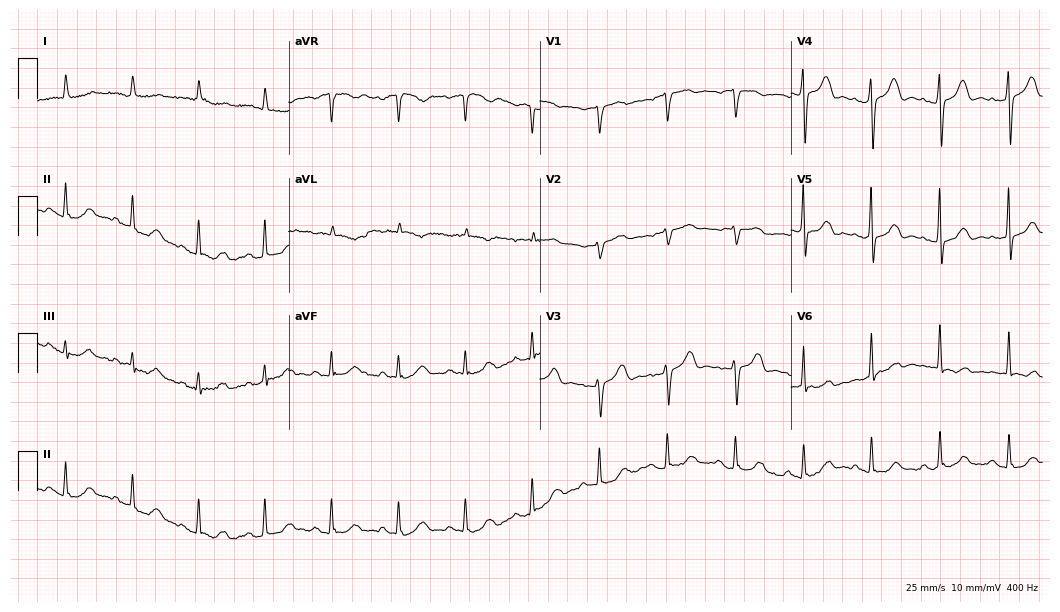
Electrocardiogram, a 71-year-old woman. Of the six screened findings (first-degree AV block, right bundle branch block, left bundle branch block, sinus bradycardia, atrial fibrillation, sinus tachycardia), none is recorded.